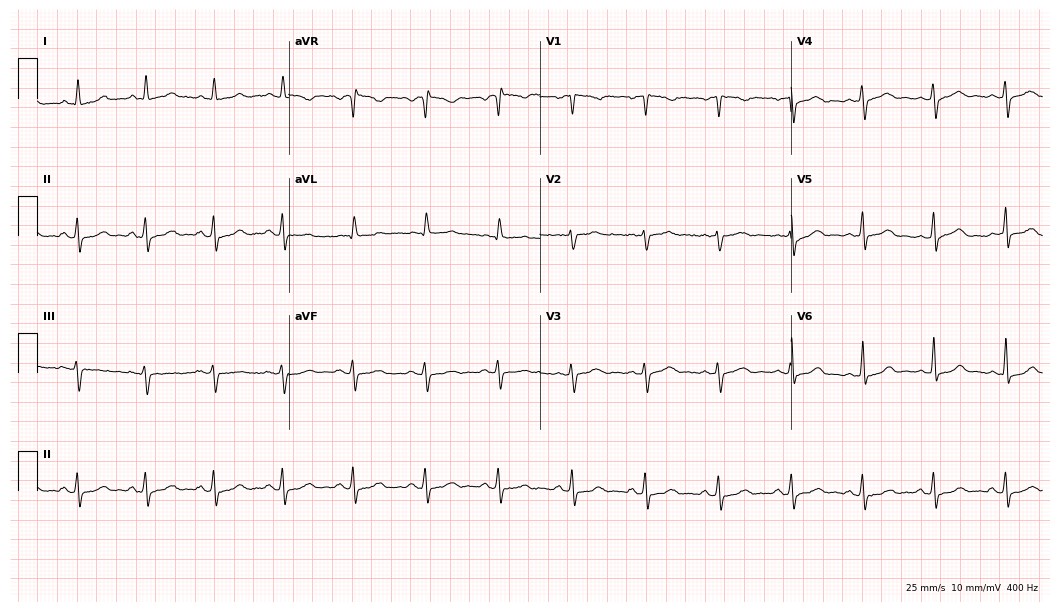
Resting 12-lead electrocardiogram. Patient: a woman, 55 years old. Read as a normal ECG.